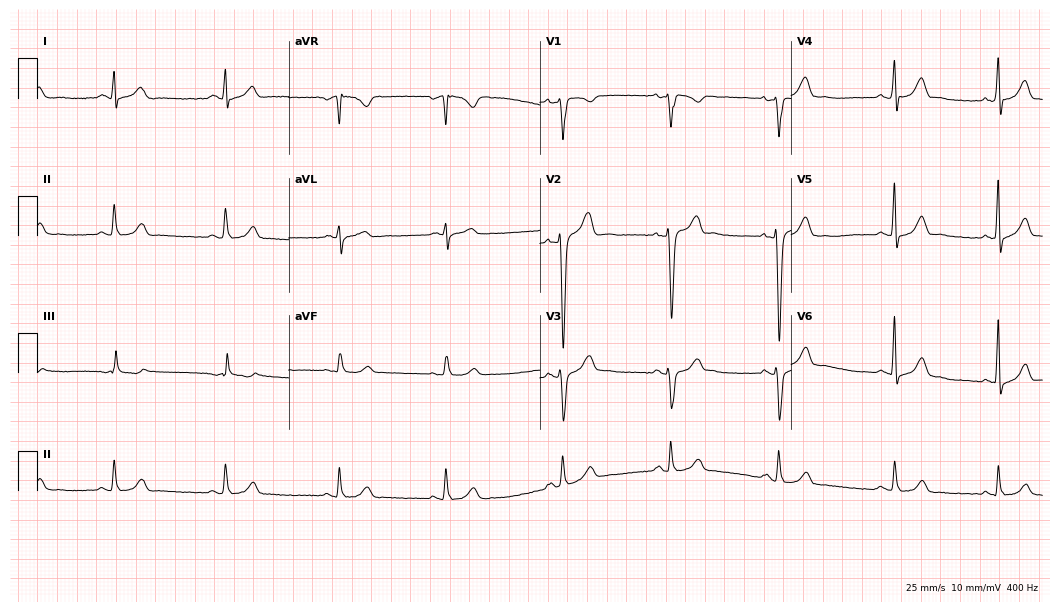
12-lead ECG (10.2-second recording at 400 Hz) from a man, 42 years old. Labelled as a normal ECG.